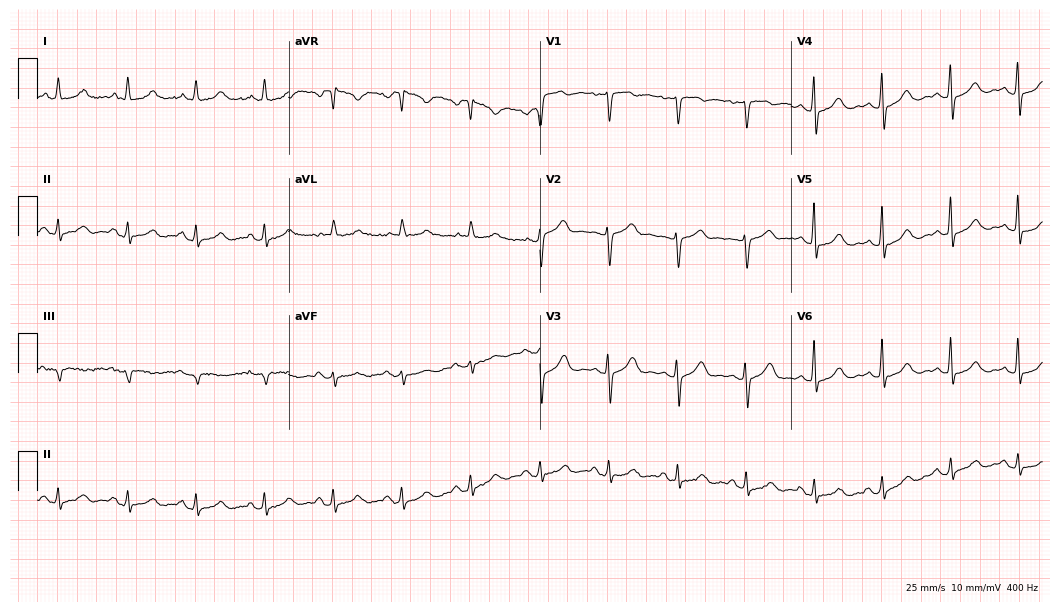
12-lead ECG from a female, 79 years old. Recorded interpretation: within normal limits.